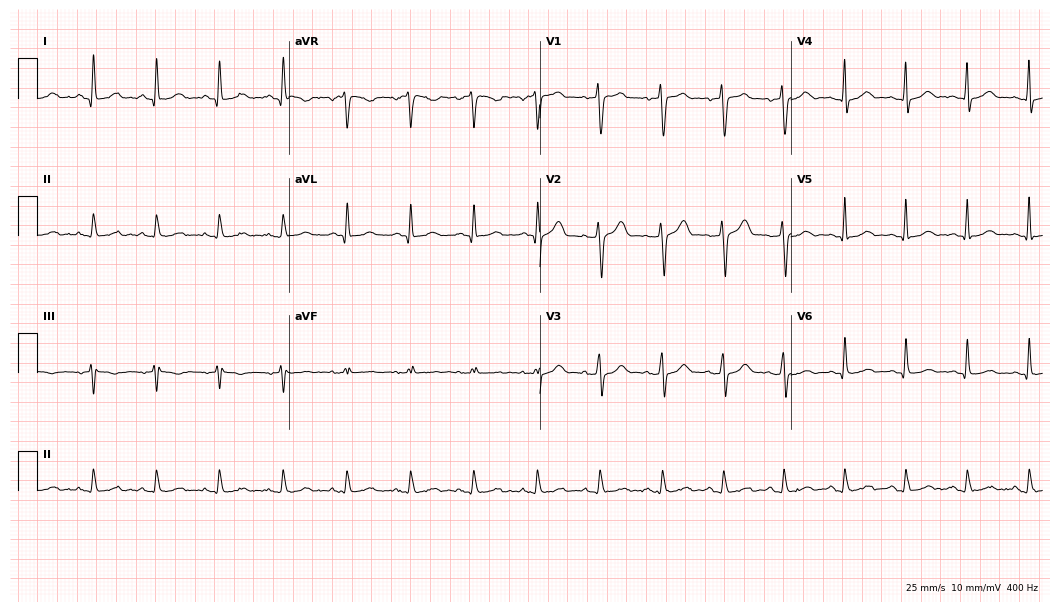
12-lead ECG from a 29-year-old male patient (10.2-second recording at 400 Hz). No first-degree AV block, right bundle branch block (RBBB), left bundle branch block (LBBB), sinus bradycardia, atrial fibrillation (AF) or sinus tachycardia recorded for this tracing. Other findings, if any, are not listed.